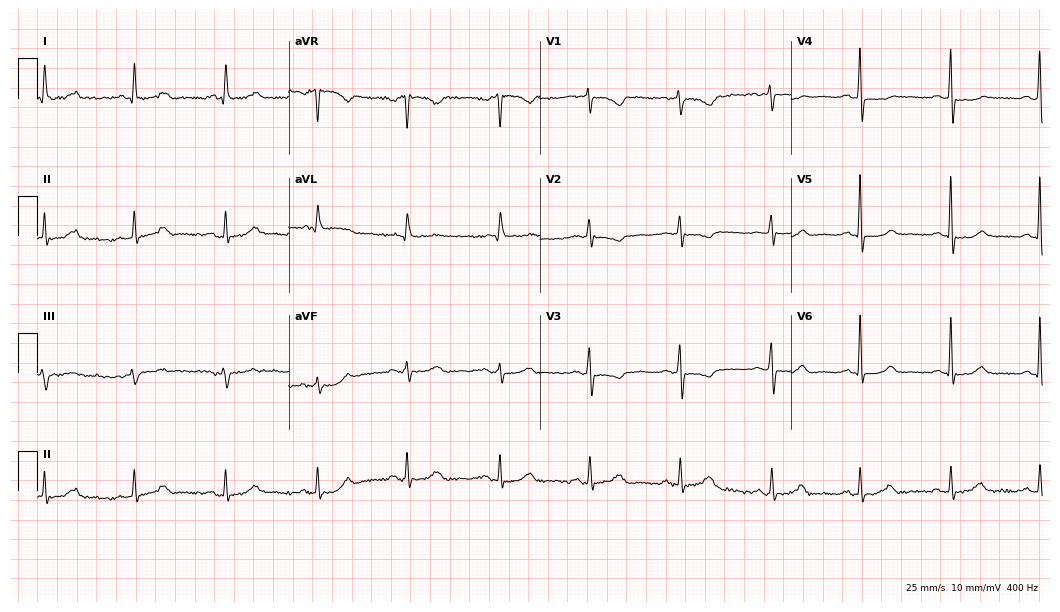
Standard 12-lead ECG recorded from a woman, 55 years old. None of these six findings is recorded: first-degree AV block, right bundle branch block, left bundle branch block, sinus bradycardia, atrial fibrillation, sinus tachycardia.